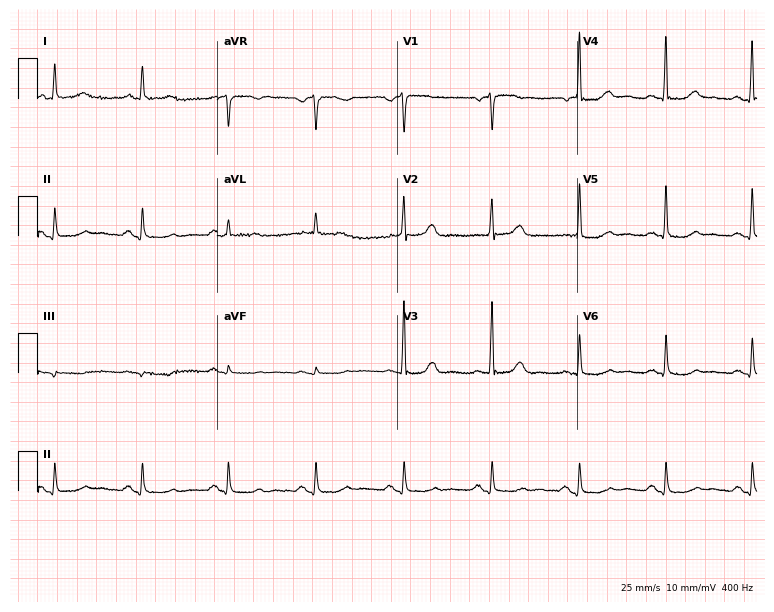
Electrocardiogram (7.3-second recording at 400 Hz), a 52-year-old female. Of the six screened findings (first-degree AV block, right bundle branch block (RBBB), left bundle branch block (LBBB), sinus bradycardia, atrial fibrillation (AF), sinus tachycardia), none is recorded.